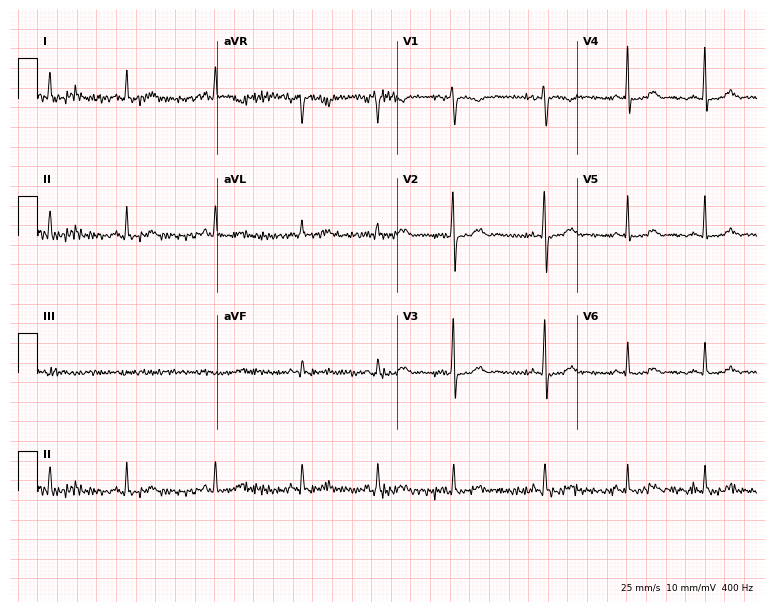
Electrocardiogram (7.3-second recording at 400 Hz), a 27-year-old female patient. Of the six screened findings (first-degree AV block, right bundle branch block (RBBB), left bundle branch block (LBBB), sinus bradycardia, atrial fibrillation (AF), sinus tachycardia), none is recorded. Findings outside these six are not listed.